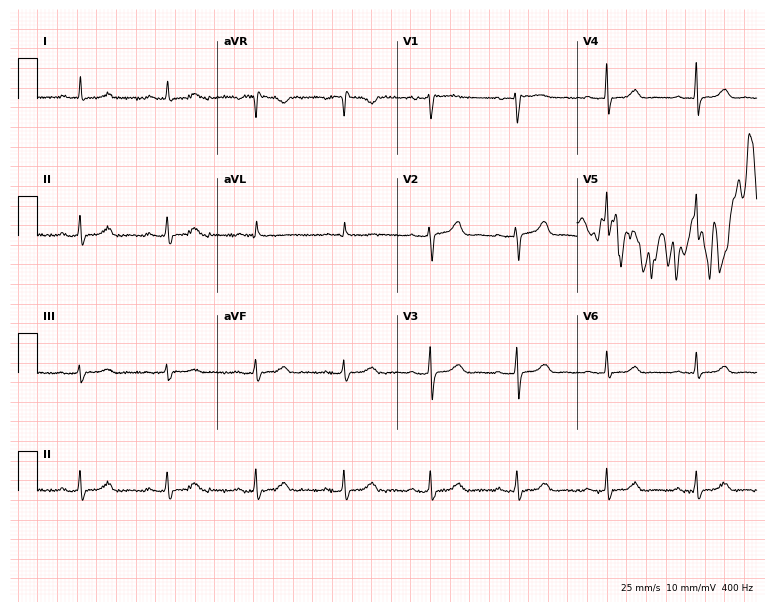
Standard 12-lead ECG recorded from a 46-year-old female patient. None of these six findings is recorded: first-degree AV block, right bundle branch block, left bundle branch block, sinus bradycardia, atrial fibrillation, sinus tachycardia. Findings outside these six are not listed.